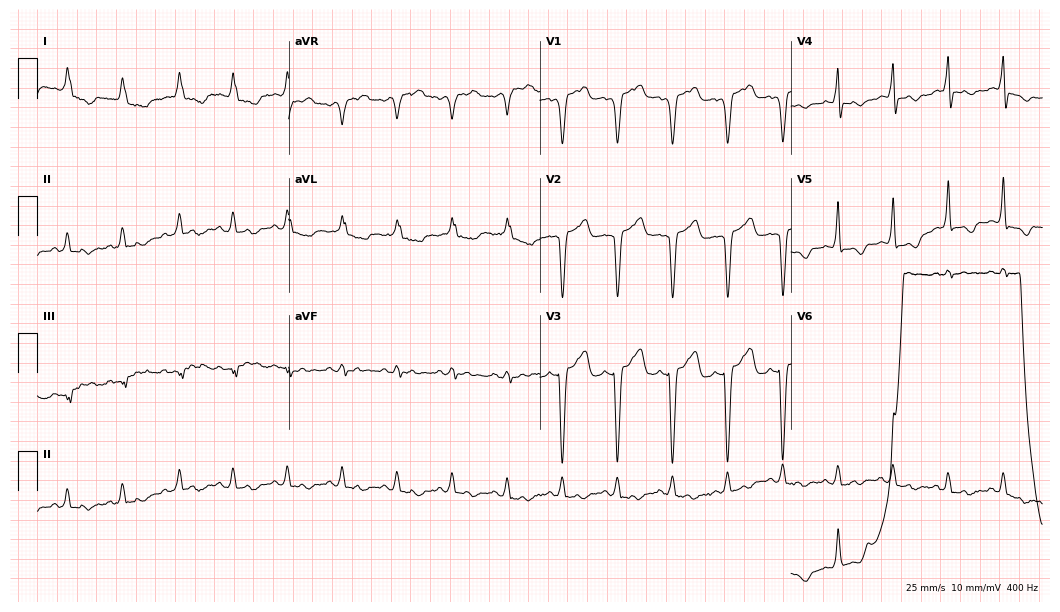
12-lead ECG (10.2-second recording at 400 Hz) from a female patient, 85 years old. Findings include sinus tachycardia (a sinus rate of 100 beats per minute or more).